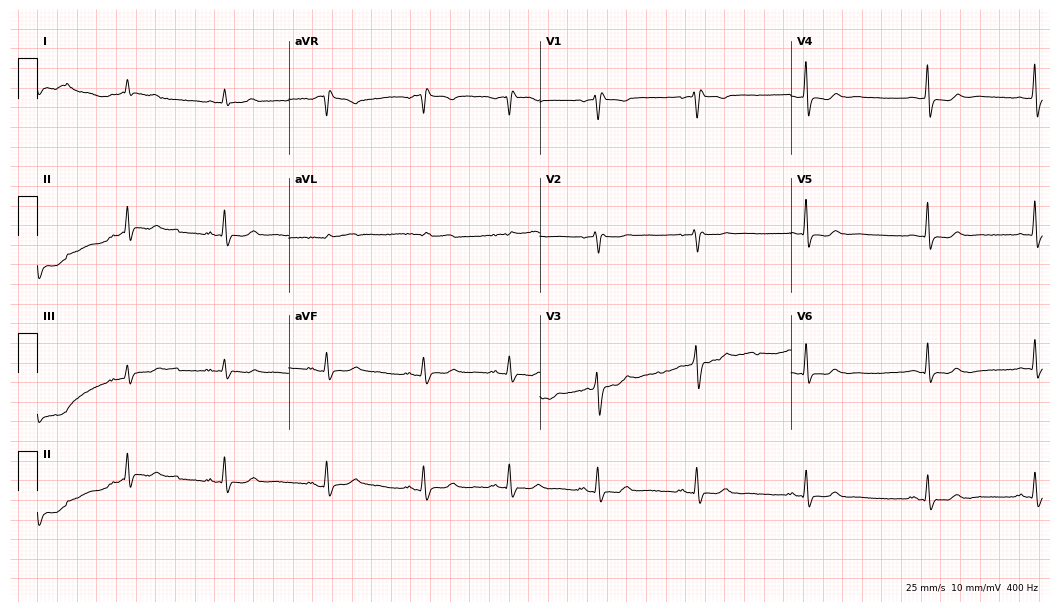
12-lead ECG (10.2-second recording at 400 Hz) from a 38-year-old female. Findings include right bundle branch block.